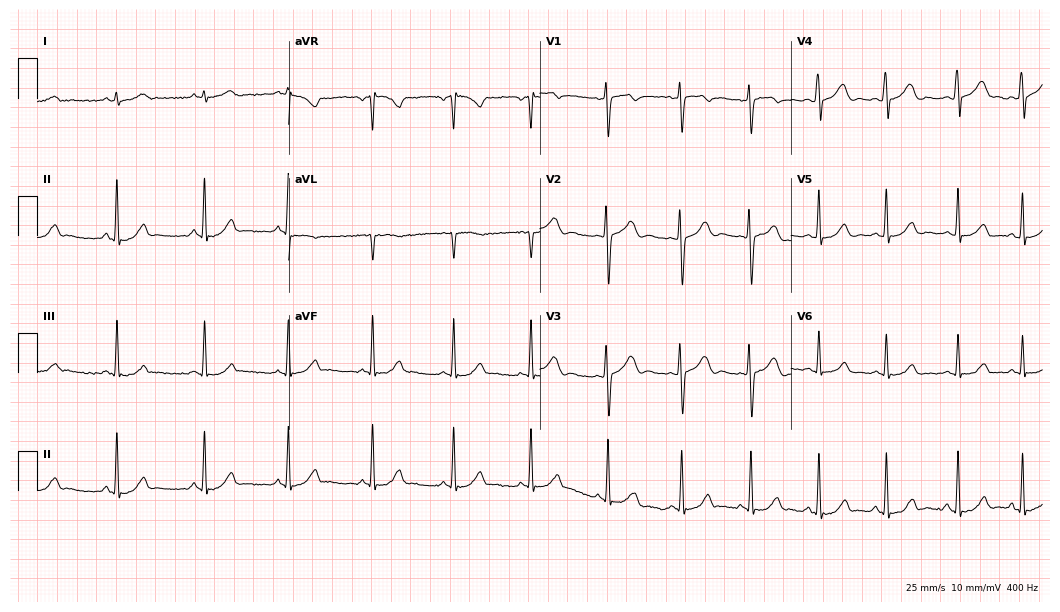
12-lead ECG from a woman, 18 years old. Recorded interpretation: within normal limits.